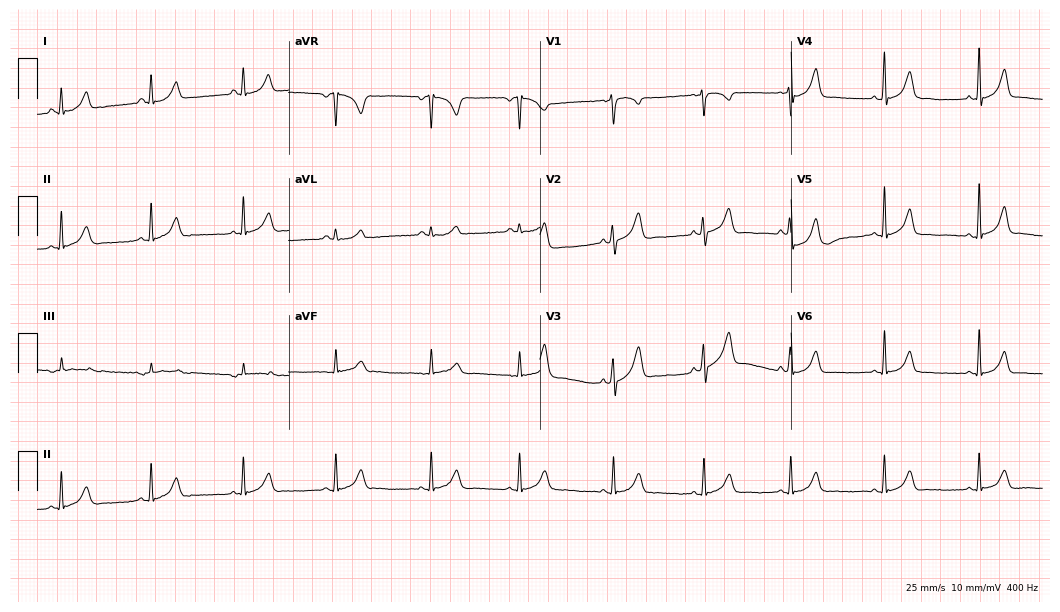
12-lead ECG from a female, 29 years old (10.2-second recording at 400 Hz). No first-degree AV block, right bundle branch block, left bundle branch block, sinus bradycardia, atrial fibrillation or sinus tachycardia recorded for this tracing.